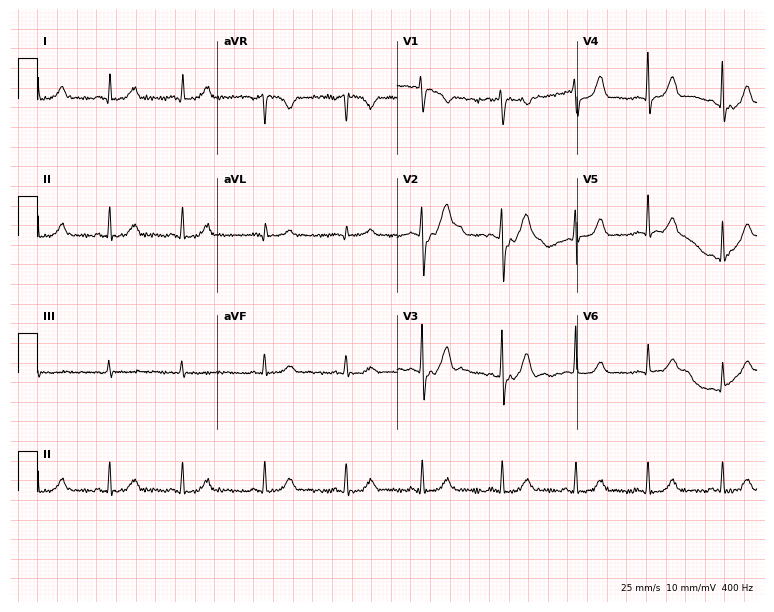
ECG (7.3-second recording at 400 Hz) — a woman, 40 years old. Labelled as a normal ECG.